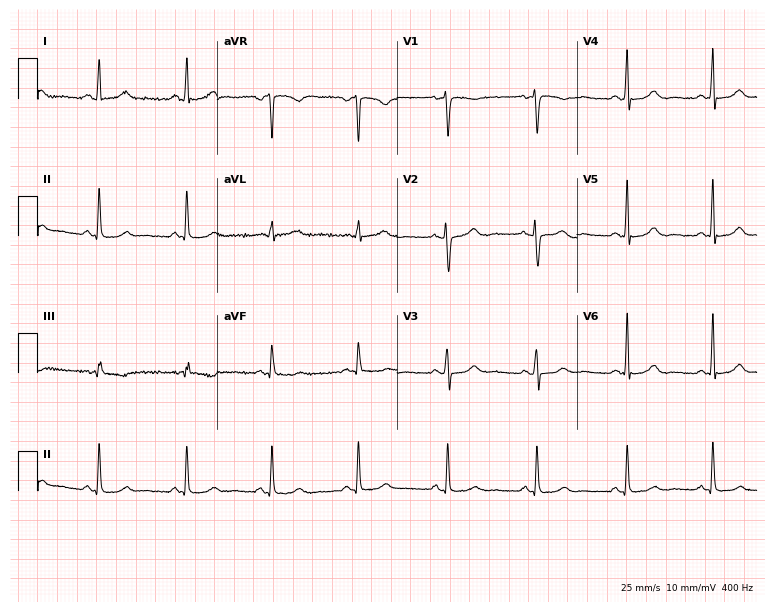
ECG — a 43-year-old woman. Labelled as a normal ECG.